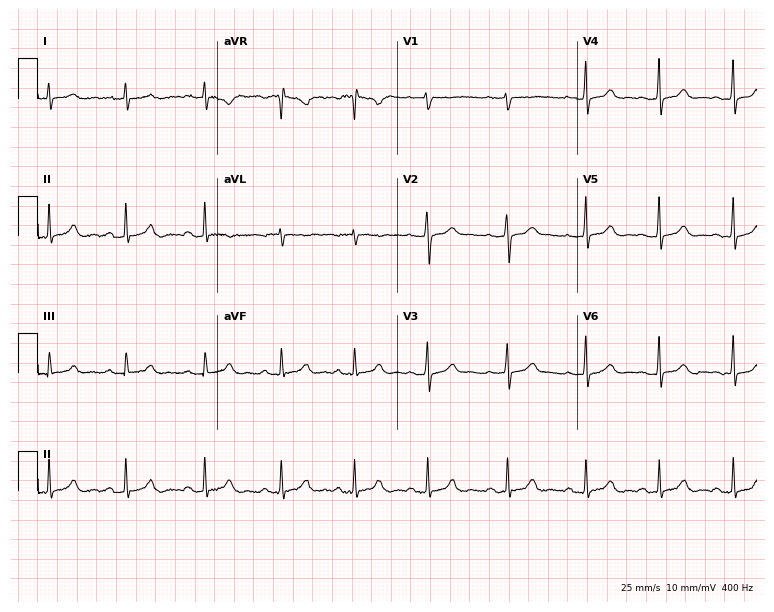
Electrocardiogram (7.3-second recording at 400 Hz), a 19-year-old female patient. Of the six screened findings (first-degree AV block, right bundle branch block, left bundle branch block, sinus bradycardia, atrial fibrillation, sinus tachycardia), none is recorded.